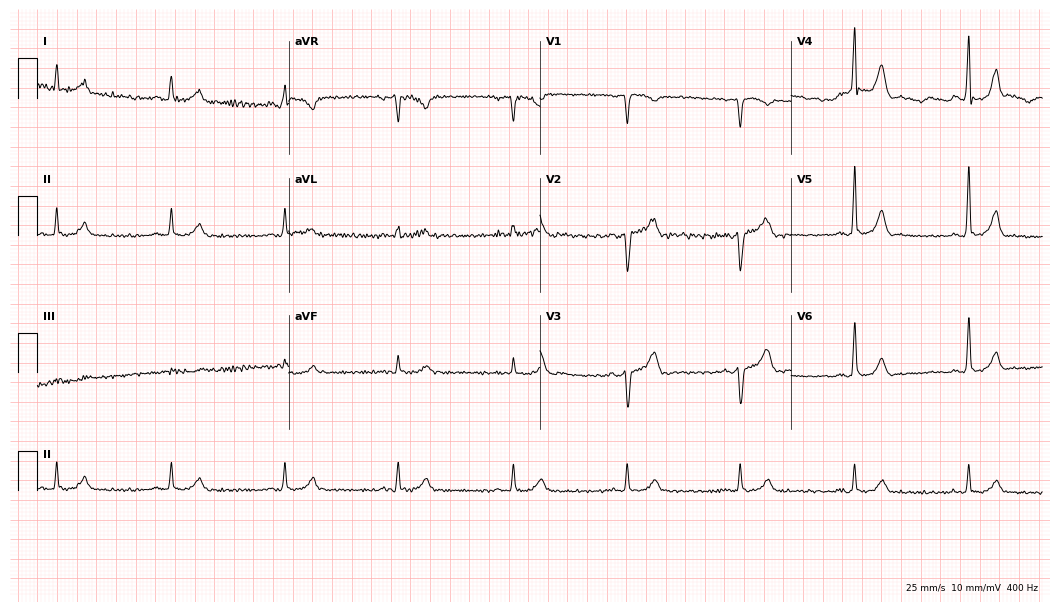
12-lead ECG from a male patient, 62 years old (10.2-second recording at 400 Hz). No first-degree AV block, right bundle branch block, left bundle branch block, sinus bradycardia, atrial fibrillation or sinus tachycardia recorded for this tracing.